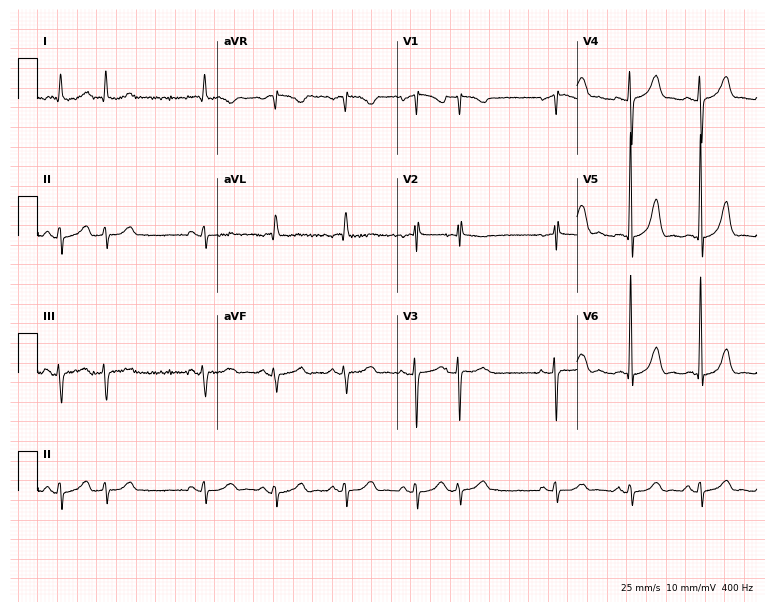
Electrocardiogram, a 56-year-old female. Of the six screened findings (first-degree AV block, right bundle branch block, left bundle branch block, sinus bradycardia, atrial fibrillation, sinus tachycardia), none is recorded.